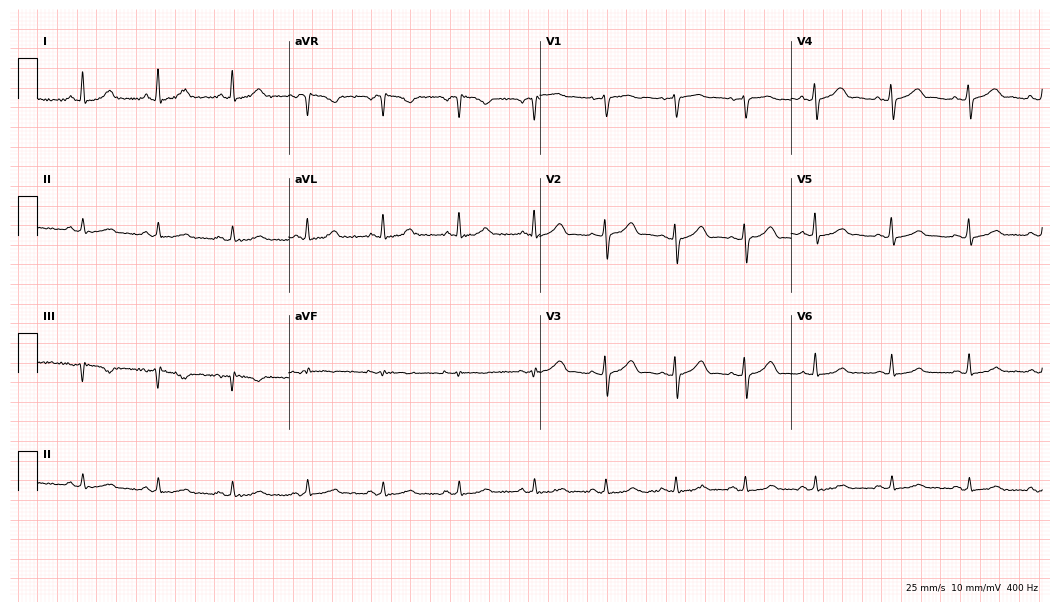
12-lead ECG from a 44-year-old female patient (10.2-second recording at 400 Hz). Recorded interpretation: within normal limits.